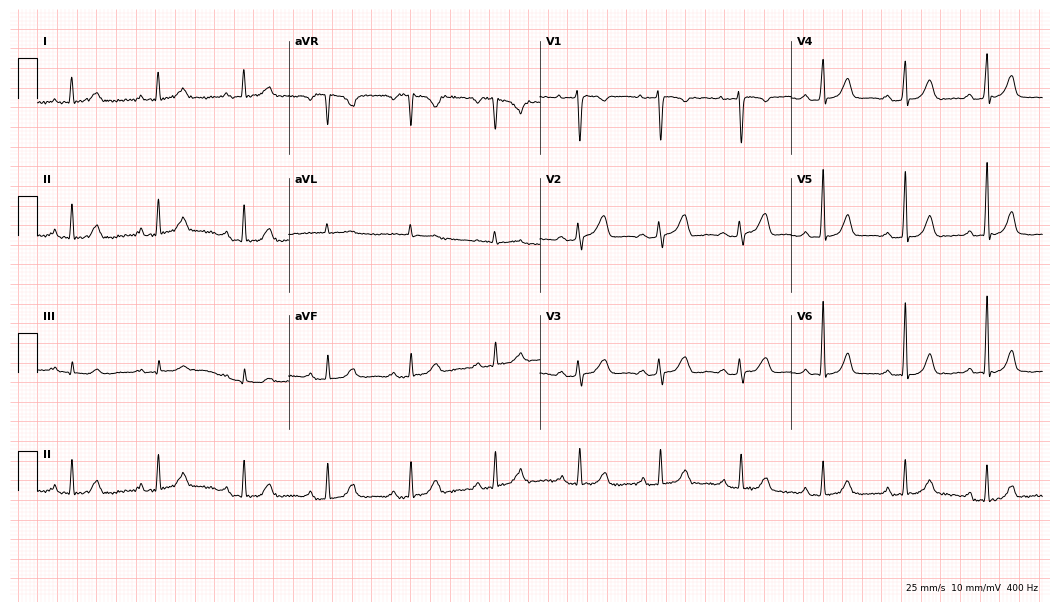
ECG — a 54-year-old female patient. Labelled as a normal ECG.